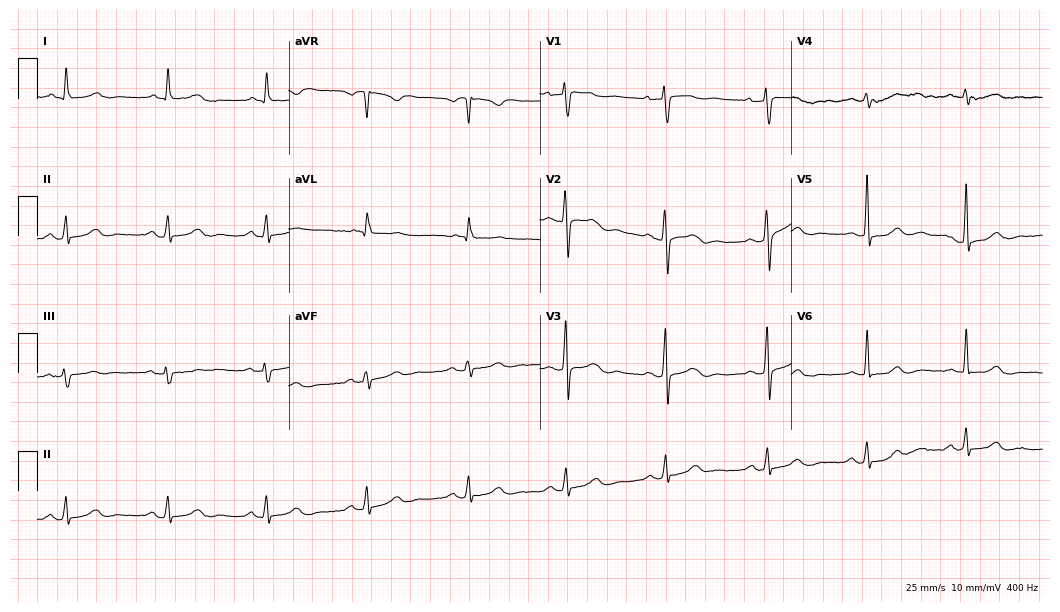
12-lead ECG from a male, 76 years old. Labelled as a normal ECG.